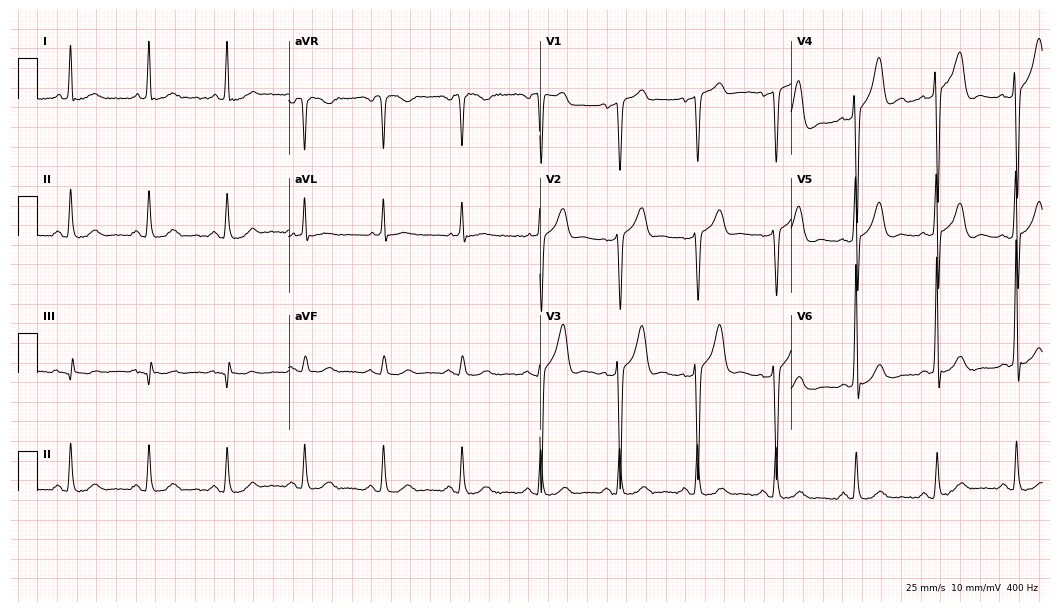
12-lead ECG from a 71-year-old man (10.2-second recording at 400 Hz). Recorded interpretation: within normal limits.